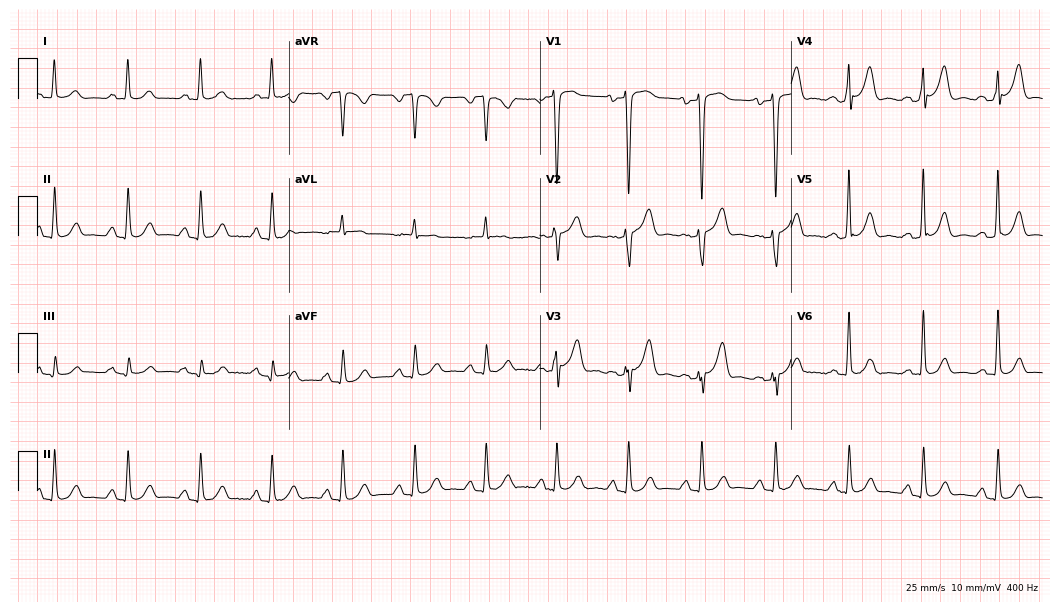
12-lead ECG from a male patient, 66 years old. Labelled as a normal ECG.